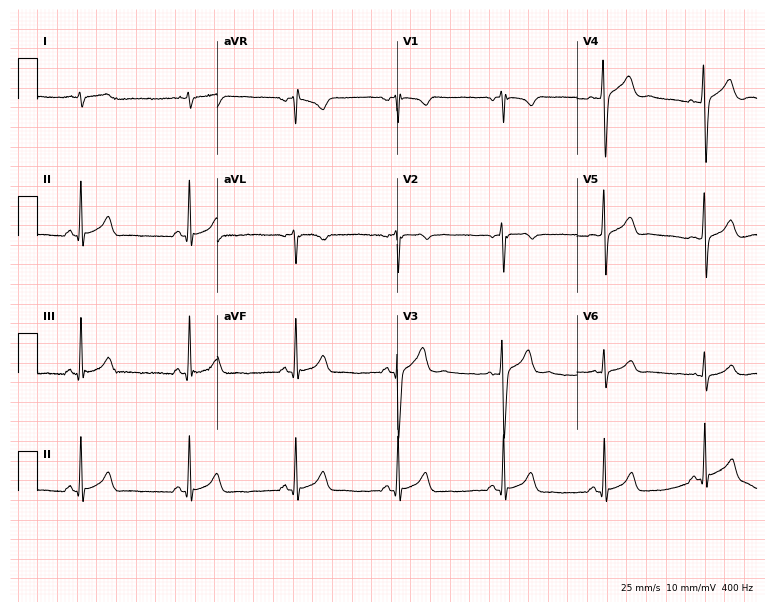
12-lead ECG from a 23-year-old male. Screened for six findings — first-degree AV block, right bundle branch block, left bundle branch block, sinus bradycardia, atrial fibrillation, sinus tachycardia — none is recorded. Other findings, if any, are not listed.